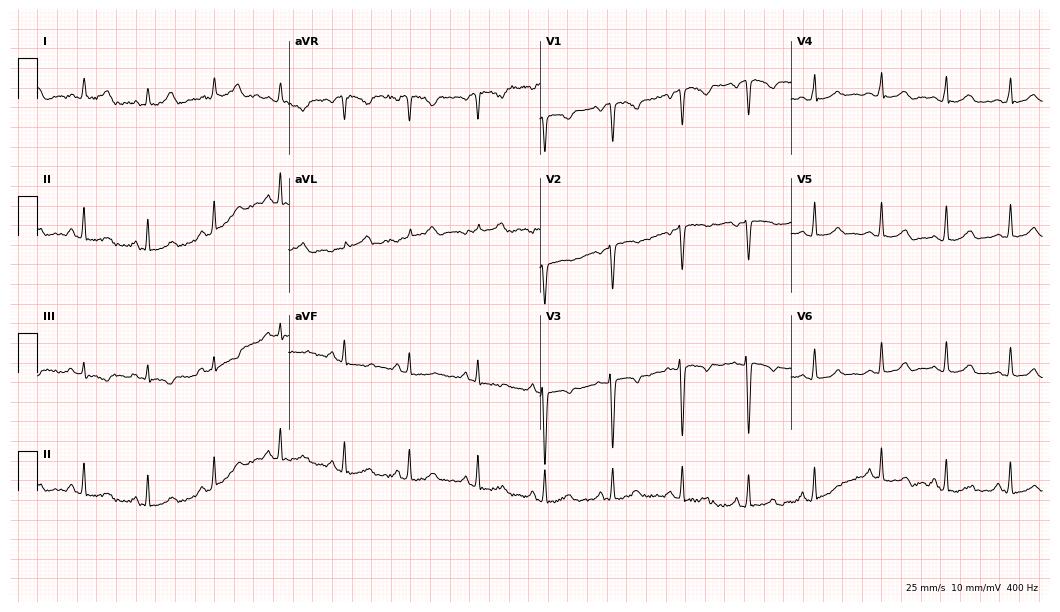
Electrocardiogram, a woman, 24 years old. Overall reading on record: normal ECG.